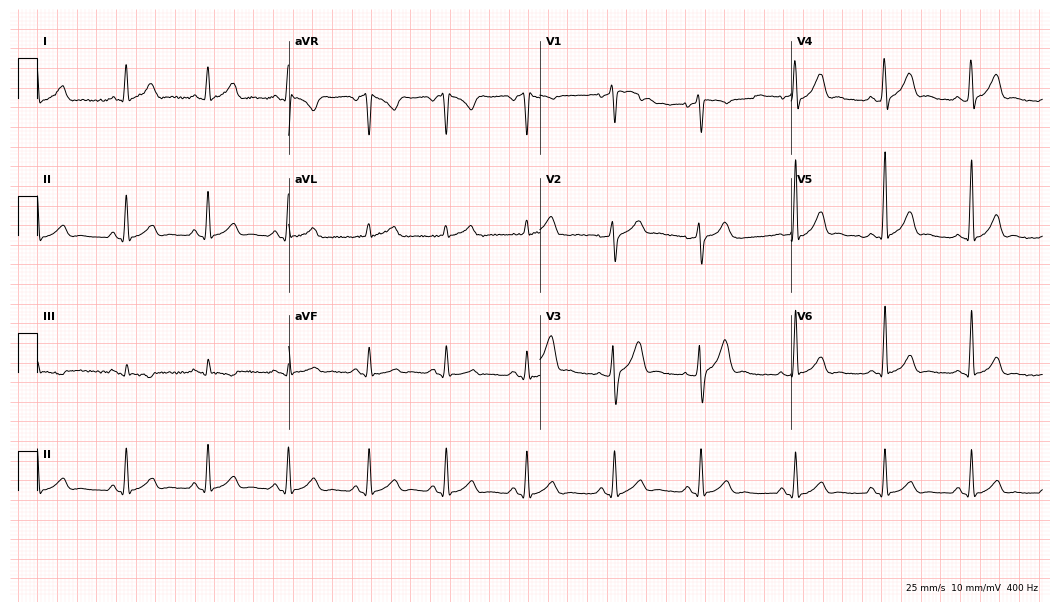
12-lead ECG from a male, 39 years old. No first-degree AV block, right bundle branch block (RBBB), left bundle branch block (LBBB), sinus bradycardia, atrial fibrillation (AF) or sinus tachycardia recorded for this tracing.